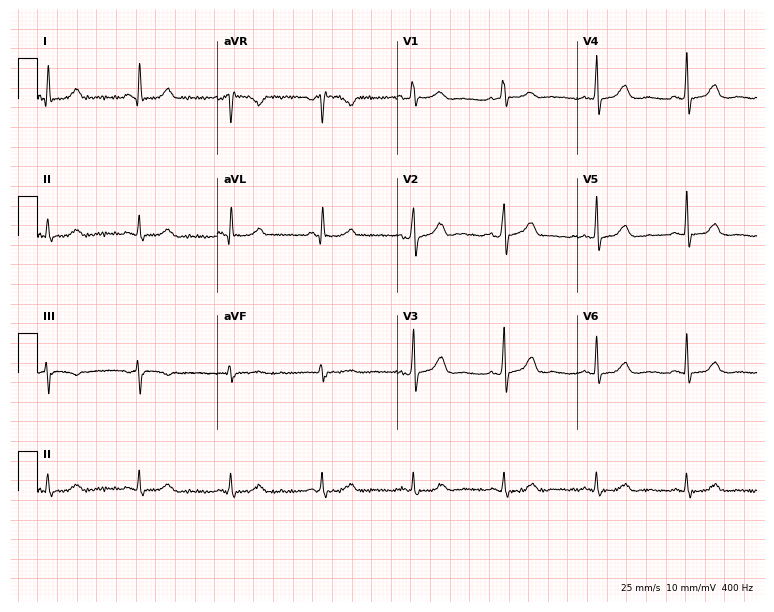
12-lead ECG from a 58-year-old female. Recorded interpretation: within normal limits.